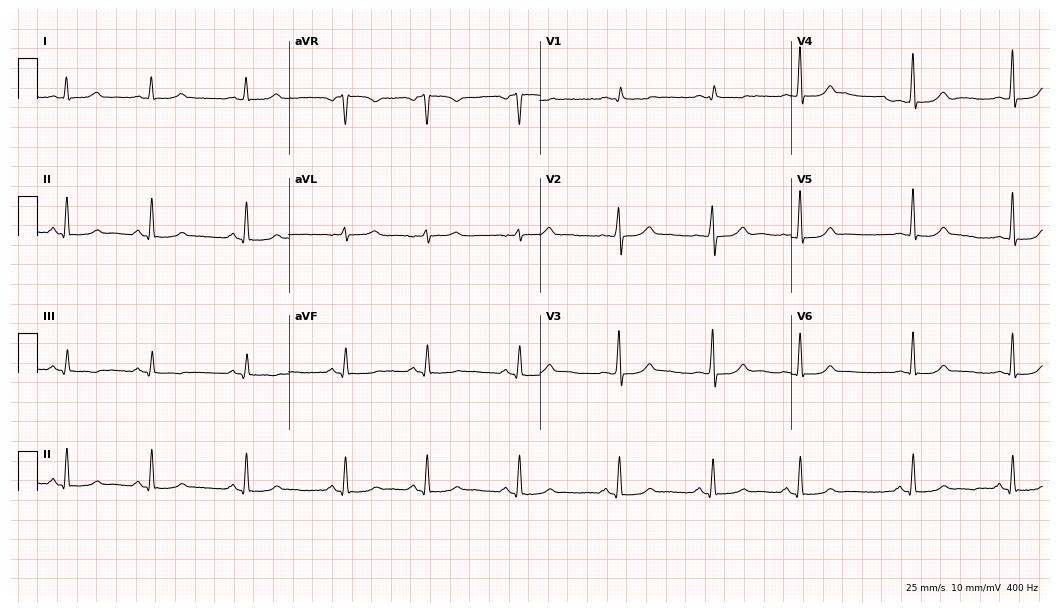
Standard 12-lead ECG recorded from a female patient, 37 years old. Read as a normal ECG.